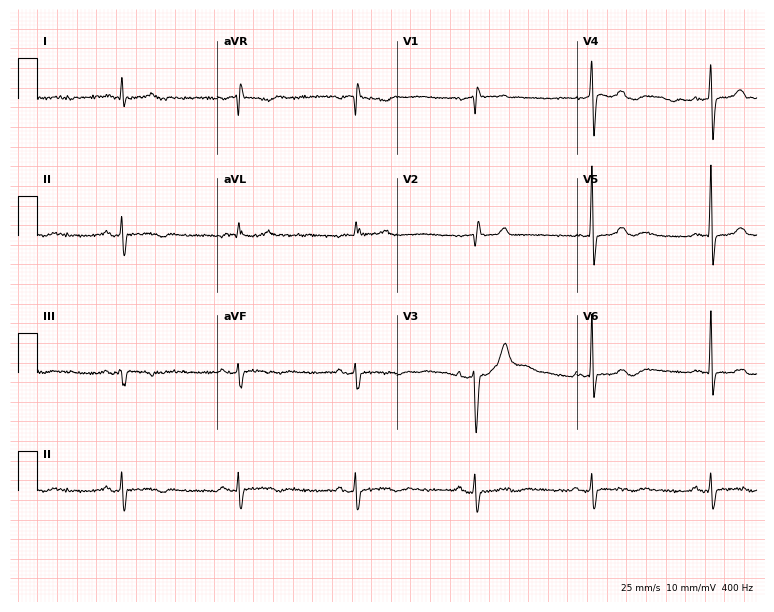
ECG (7.3-second recording at 400 Hz) — a 74-year-old male. Screened for six findings — first-degree AV block, right bundle branch block, left bundle branch block, sinus bradycardia, atrial fibrillation, sinus tachycardia — none is recorded. Other findings, if any, are not listed.